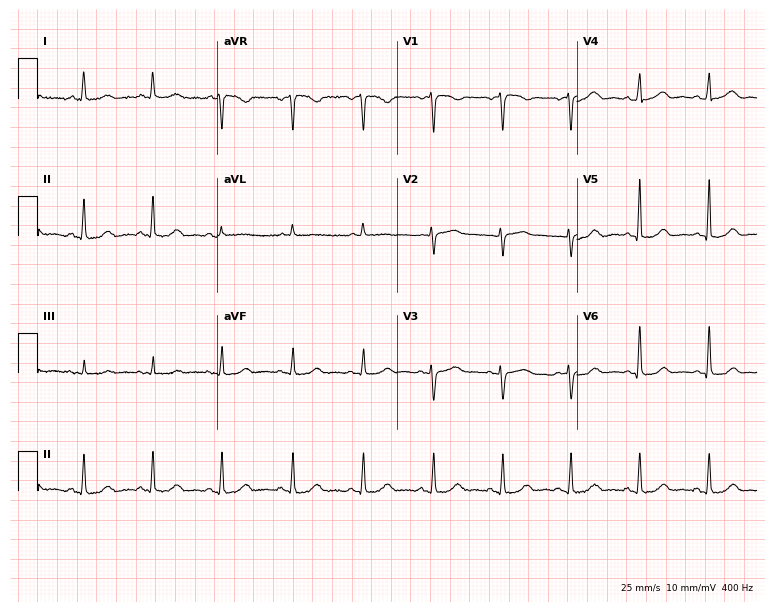
12-lead ECG from a female, 59 years old. Labelled as a normal ECG.